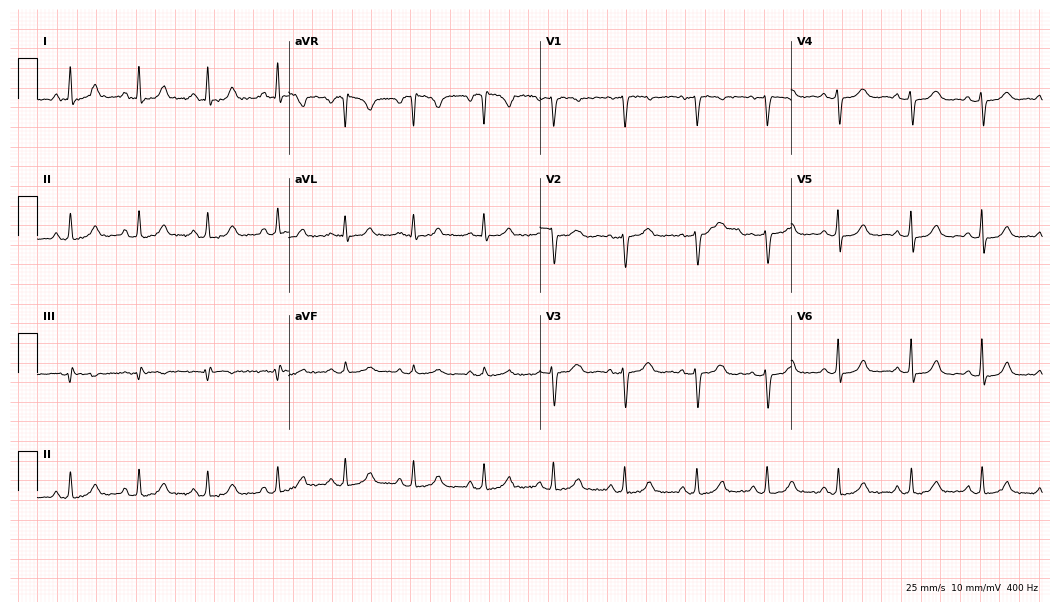
12-lead ECG from a female patient, 44 years old. Screened for six findings — first-degree AV block, right bundle branch block, left bundle branch block, sinus bradycardia, atrial fibrillation, sinus tachycardia — none is recorded. Findings outside these six are not listed.